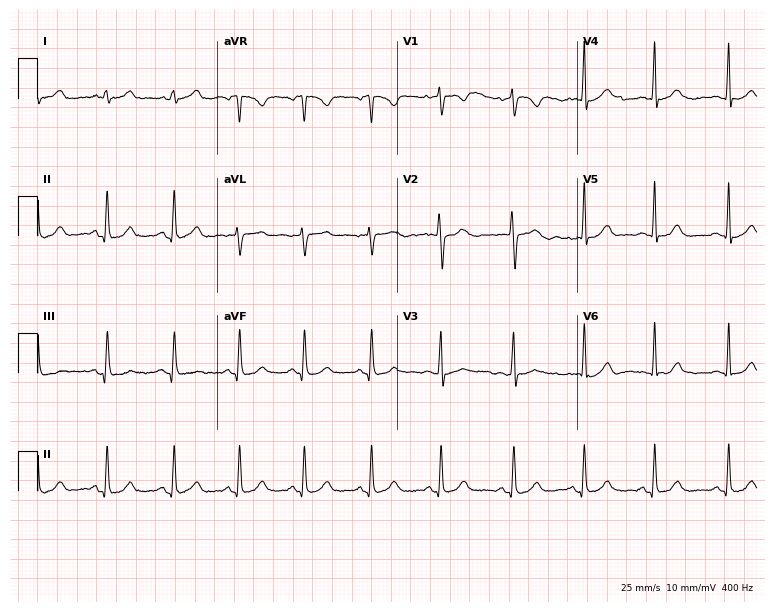
ECG — a 21-year-old woman. Labelled as a normal ECG.